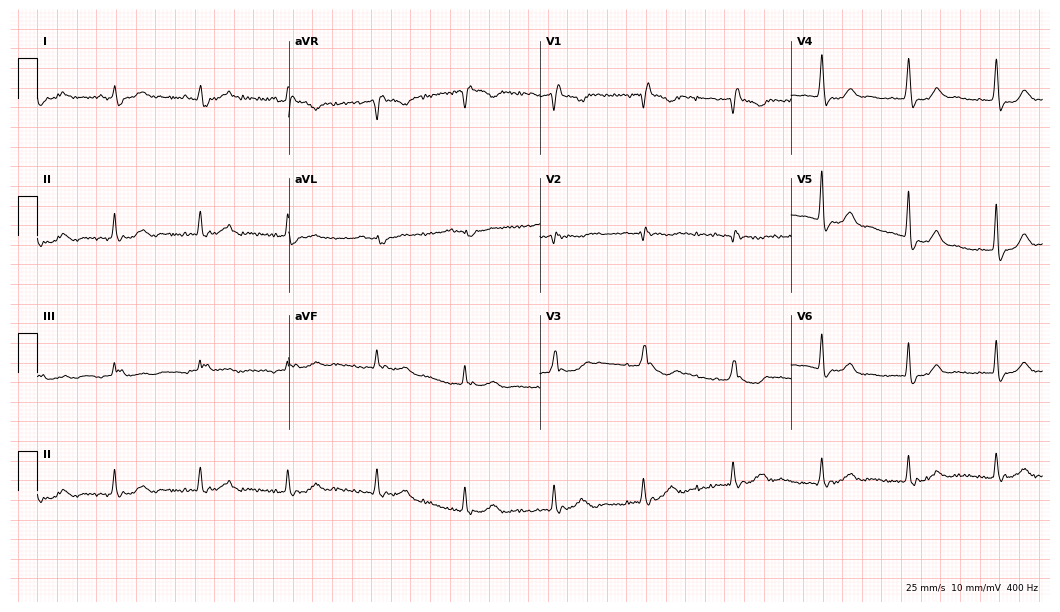
12-lead ECG from a 77-year-old man (10.2-second recording at 400 Hz). Shows right bundle branch block.